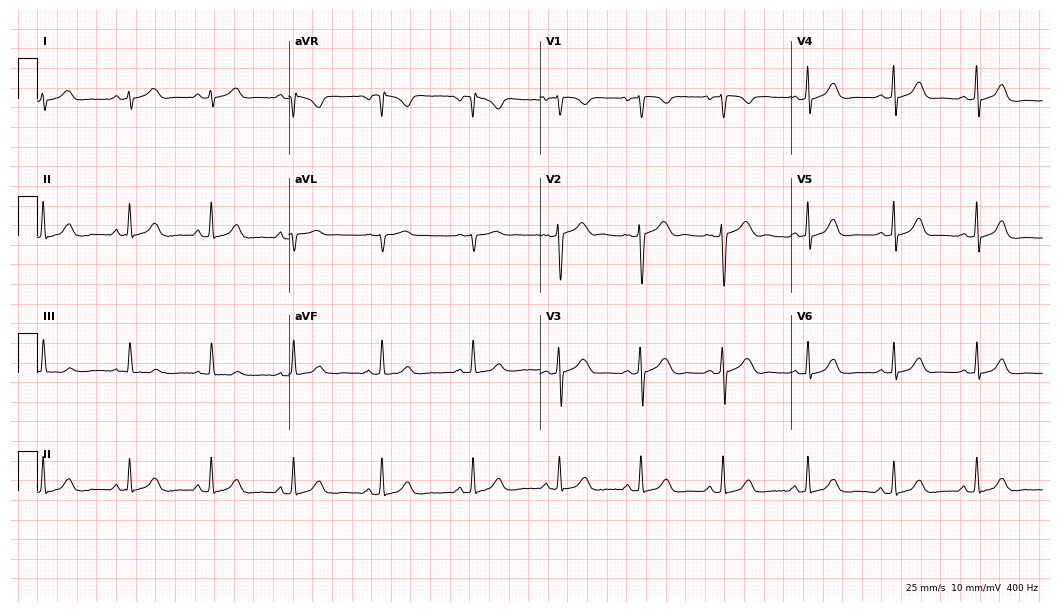
Electrocardiogram, a woman, 29 years old. Overall reading on record: normal ECG.